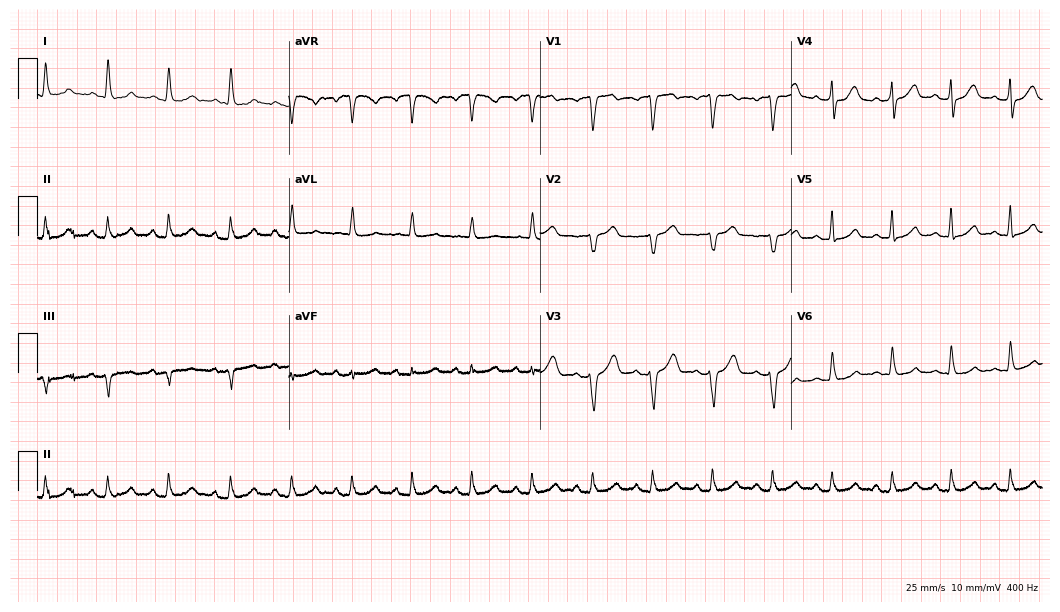
Resting 12-lead electrocardiogram. Patient: a 51-year-old female. Read as a normal ECG.